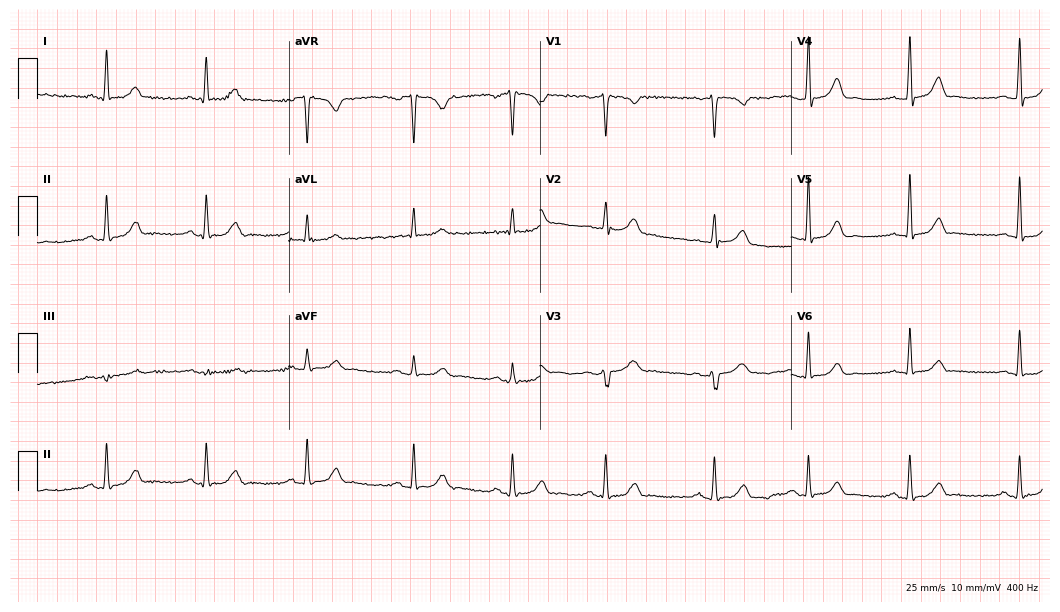
12-lead ECG from a female patient, 46 years old. Labelled as a normal ECG.